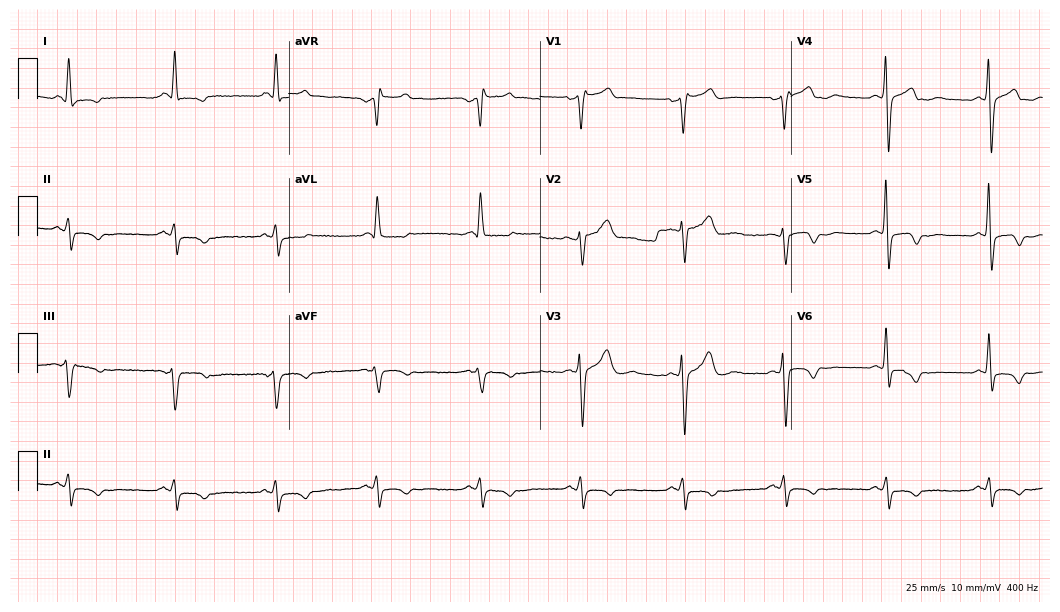
Standard 12-lead ECG recorded from a 60-year-old man. None of these six findings is recorded: first-degree AV block, right bundle branch block (RBBB), left bundle branch block (LBBB), sinus bradycardia, atrial fibrillation (AF), sinus tachycardia. Findings outside these six are not listed.